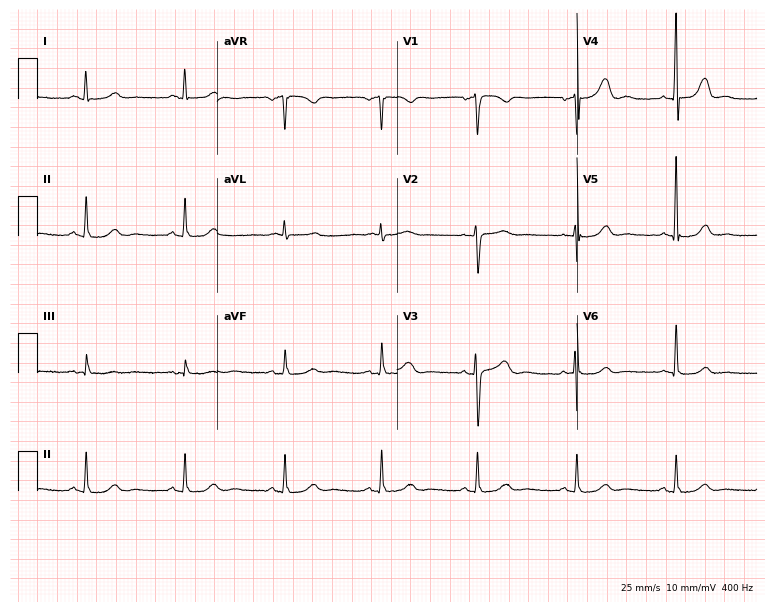
Electrocardiogram, a female, 61 years old. Overall reading on record: normal ECG.